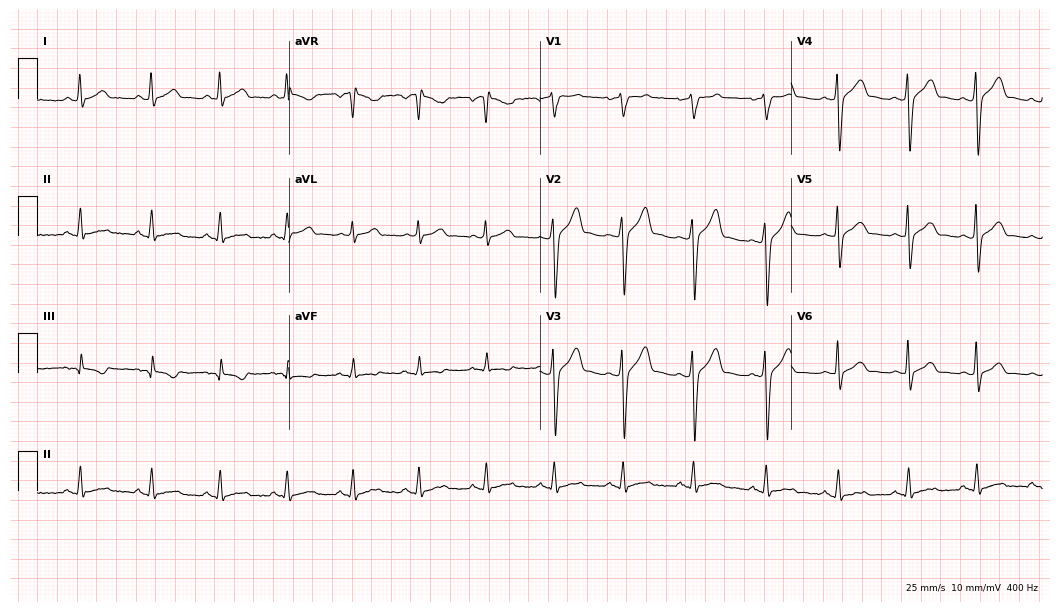
ECG — a 24-year-old man. Screened for six findings — first-degree AV block, right bundle branch block (RBBB), left bundle branch block (LBBB), sinus bradycardia, atrial fibrillation (AF), sinus tachycardia — none is recorded.